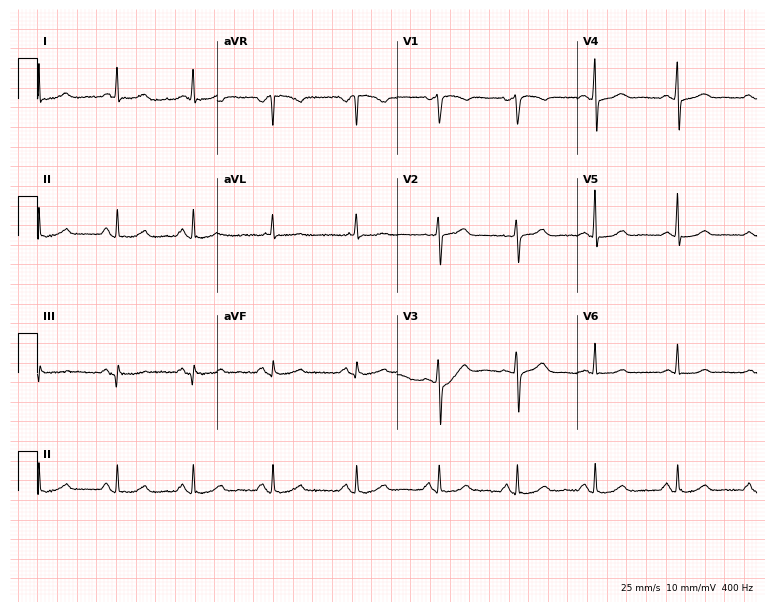
Standard 12-lead ECG recorded from a 59-year-old female patient (7.3-second recording at 400 Hz). Read as a normal ECG.